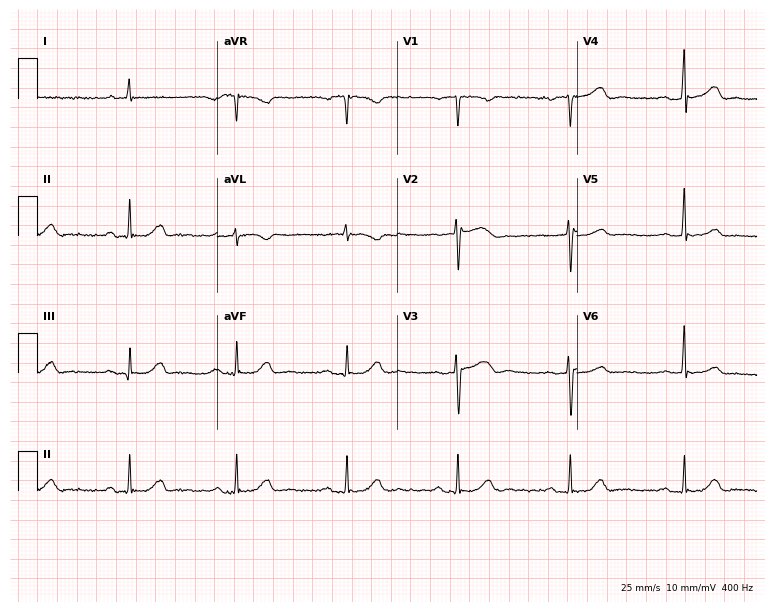
Resting 12-lead electrocardiogram (7.3-second recording at 400 Hz). Patient: a man, 80 years old. None of these six findings is recorded: first-degree AV block, right bundle branch block, left bundle branch block, sinus bradycardia, atrial fibrillation, sinus tachycardia. Findings outside these six are not listed.